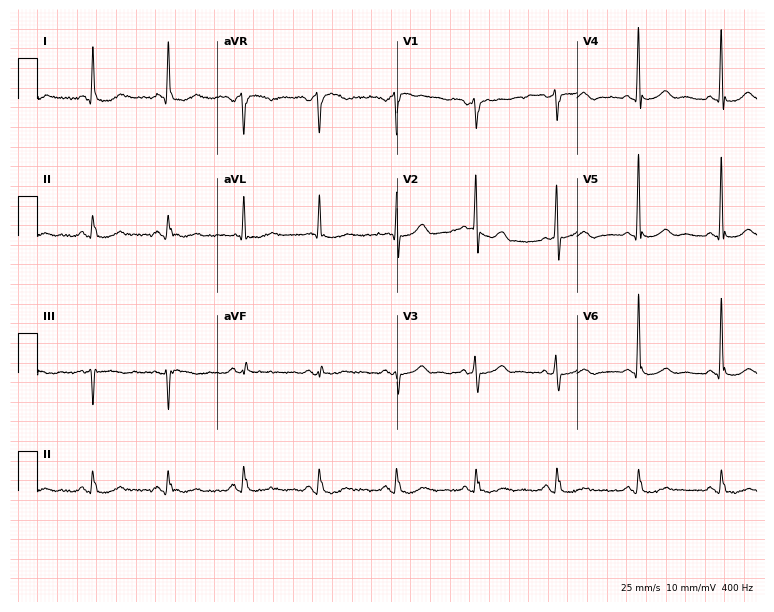
12-lead ECG (7.3-second recording at 400 Hz) from a male, 83 years old. Screened for six findings — first-degree AV block, right bundle branch block (RBBB), left bundle branch block (LBBB), sinus bradycardia, atrial fibrillation (AF), sinus tachycardia — none is recorded.